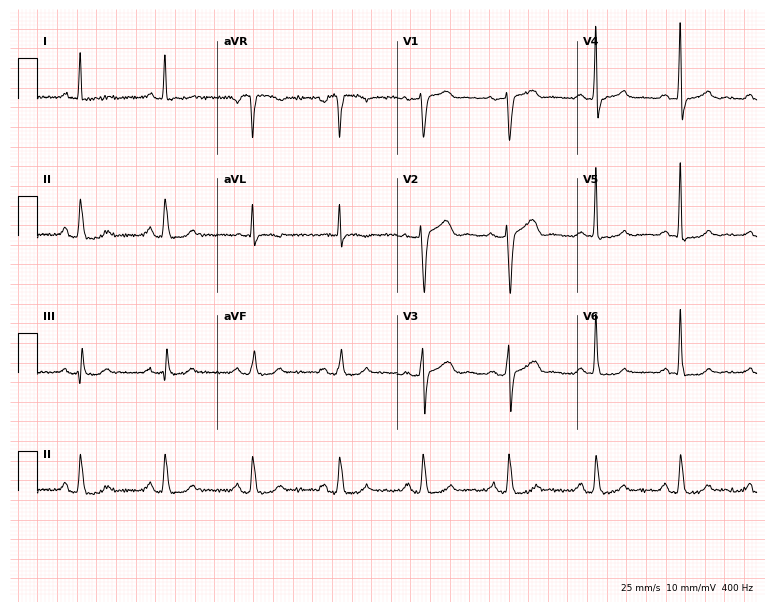
ECG (7.3-second recording at 400 Hz) — a 54-year-old female patient. Screened for six findings — first-degree AV block, right bundle branch block, left bundle branch block, sinus bradycardia, atrial fibrillation, sinus tachycardia — none is recorded. Findings outside these six are not listed.